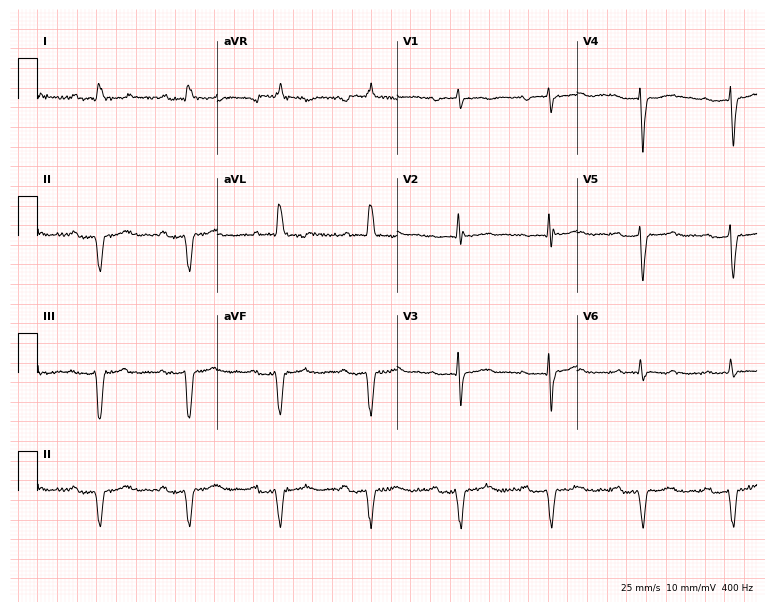
Standard 12-lead ECG recorded from a woman, 82 years old (7.3-second recording at 400 Hz). The tracing shows left bundle branch block.